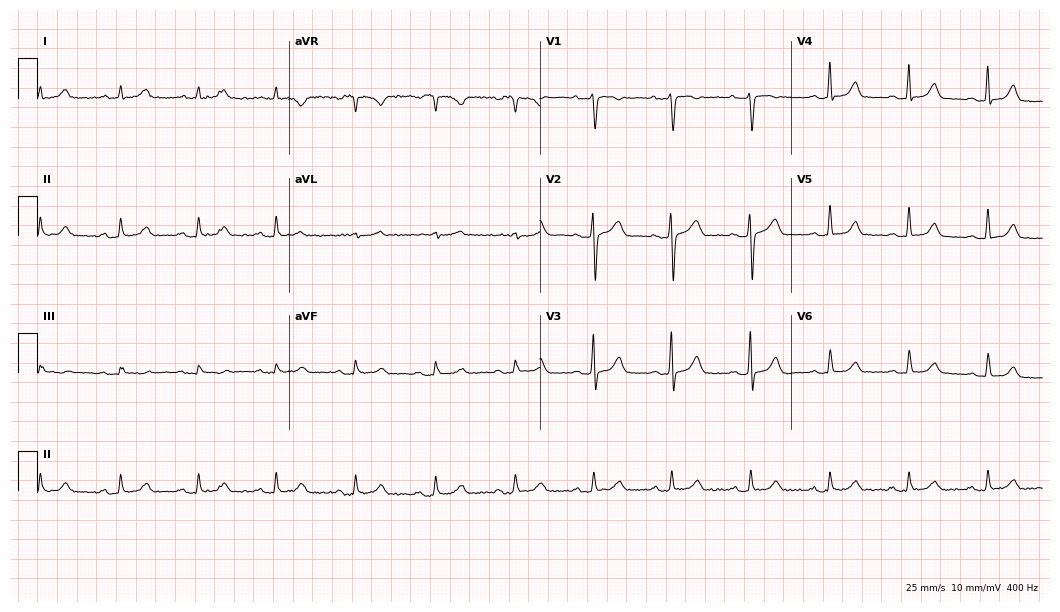
ECG — a female patient, 76 years old. Labelled as a normal ECG.